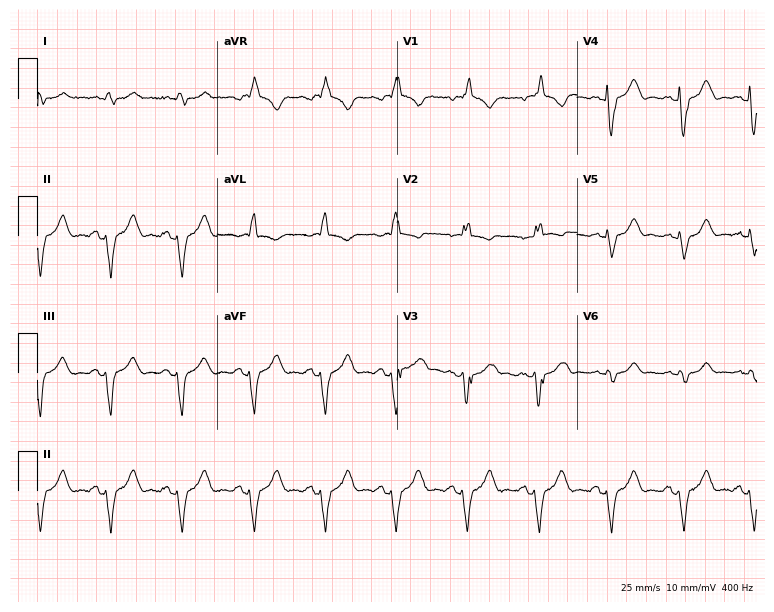
12-lead ECG from a male patient, 74 years old. Shows right bundle branch block.